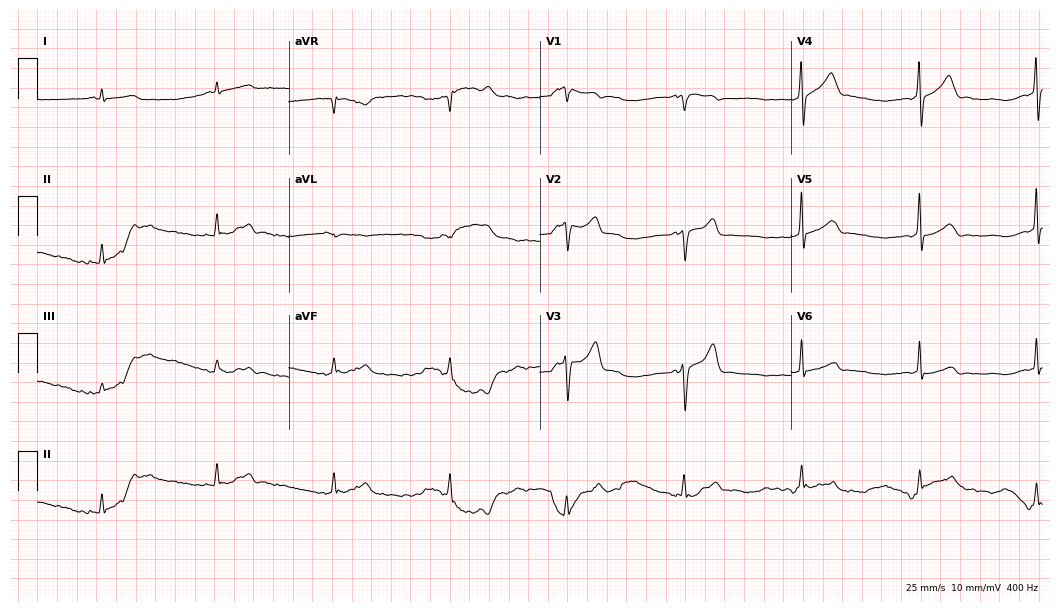
Resting 12-lead electrocardiogram. Patient: a woman, 44 years old. None of these six findings is recorded: first-degree AV block, right bundle branch block, left bundle branch block, sinus bradycardia, atrial fibrillation, sinus tachycardia.